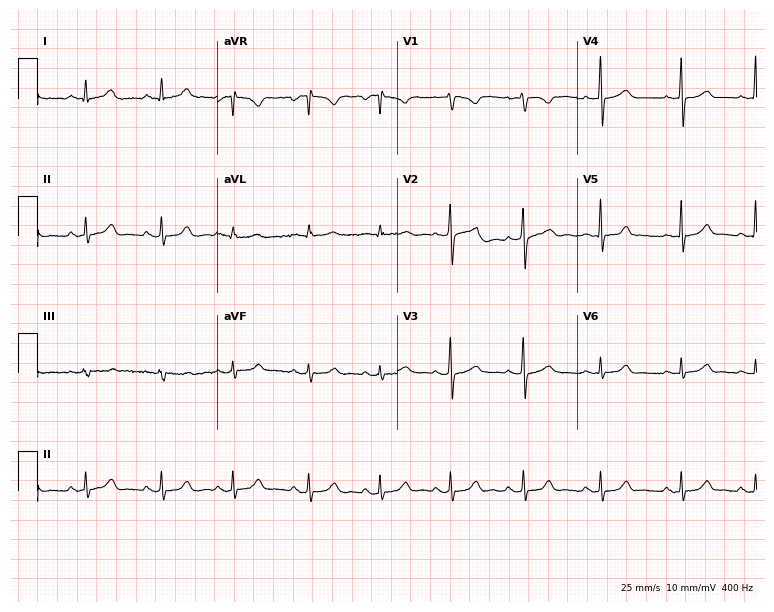
Resting 12-lead electrocardiogram. Patient: a female, 22 years old. Read as a normal ECG.